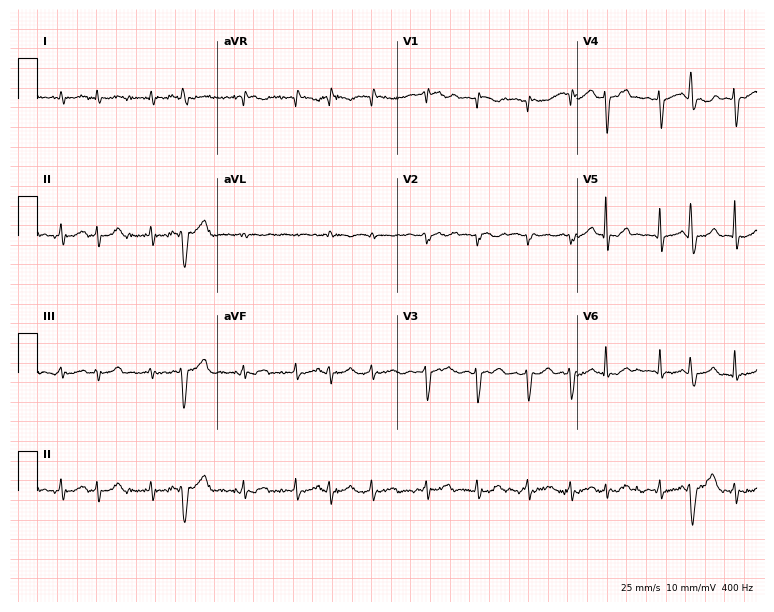
Electrocardiogram (7.3-second recording at 400 Hz), a 78-year-old male patient. Interpretation includes atrial fibrillation.